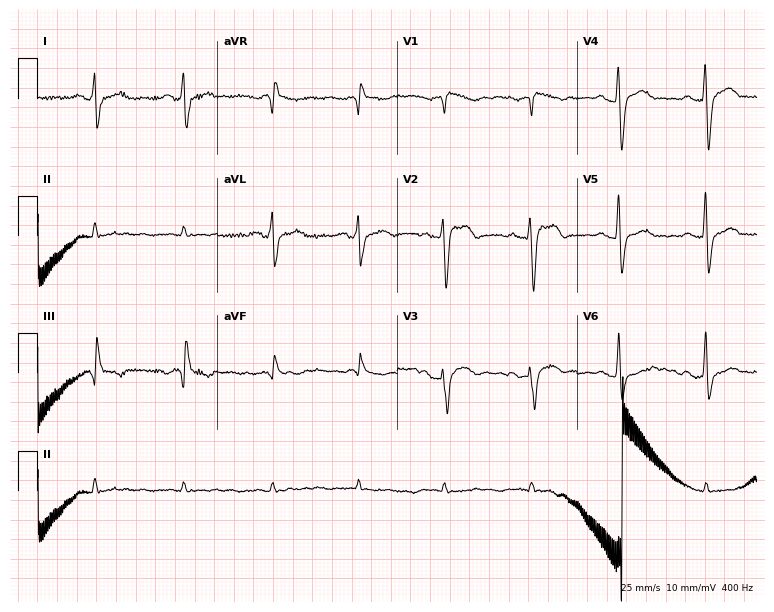
12-lead ECG (7.3-second recording at 400 Hz) from a man, 43 years old. Screened for six findings — first-degree AV block, right bundle branch block, left bundle branch block, sinus bradycardia, atrial fibrillation, sinus tachycardia — none is recorded.